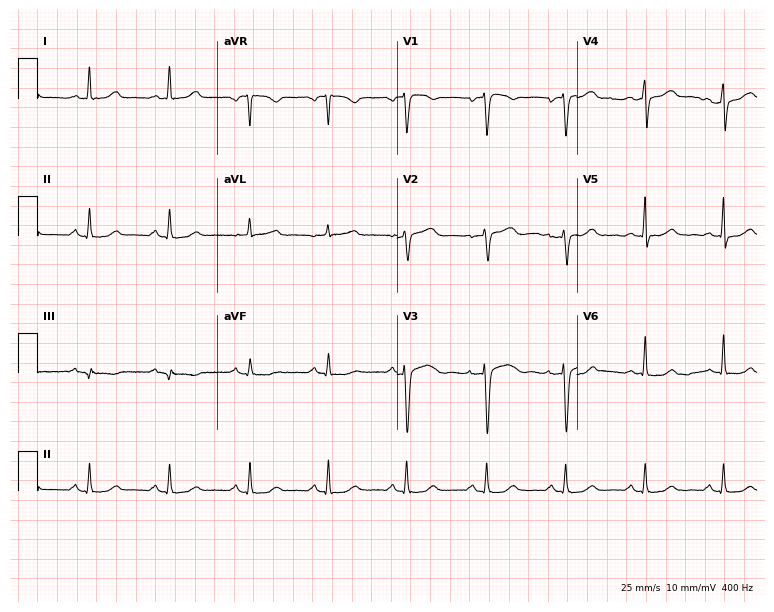
Standard 12-lead ECG recorded from a 56-year-old woman (7.3-second recording at 400 Hz). None of these six findings is recorded: first-degree AV block, right bundle branch block (RBBB), left bundle branch block (LBBB), sinus bradycardia, atrial fibrillation (AF), sinus tachycardia. Only these six findings were labelled.